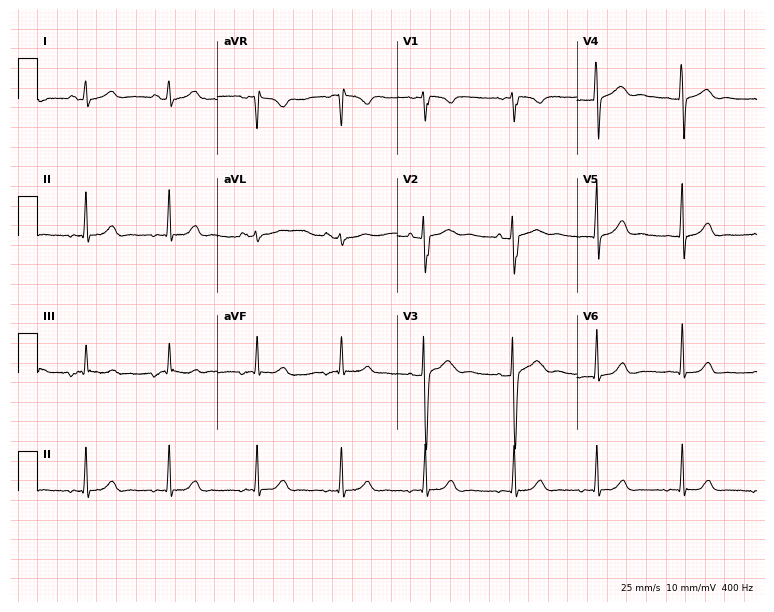
Electrocardiogram (7.3-second recording at 400 Hz), a 22-year-old female patient. Of the six screened findings (first-degree AV block, right bundle branch block, left bundle branch block, sinus bradycardia, atrial fibrillation, sinus tachycardia), none is recorded. Only these six findings were labelled.